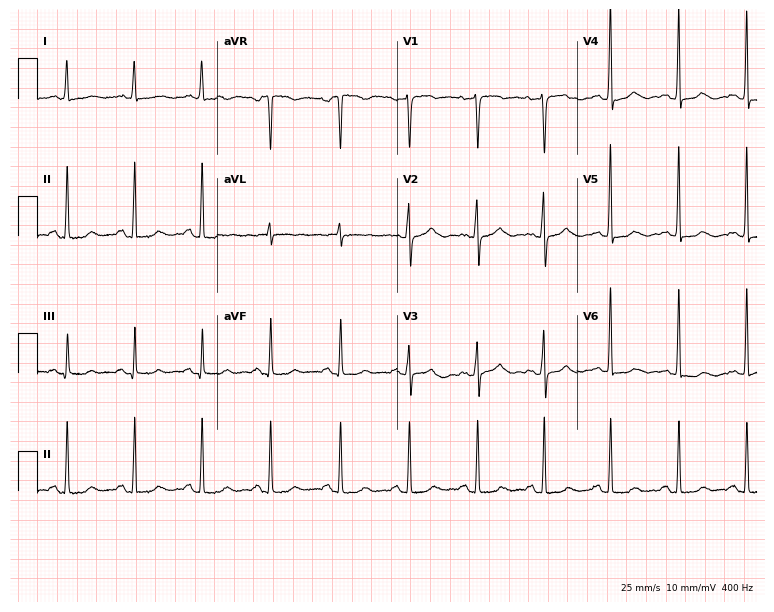
ECG — a 64-year-old woman. Screened for six findings — first-degree AV block, right bundle branch block, left bundle branch block, sinus bradycardia, atrial fibrillation, sinus tachycardia — none is recorded.